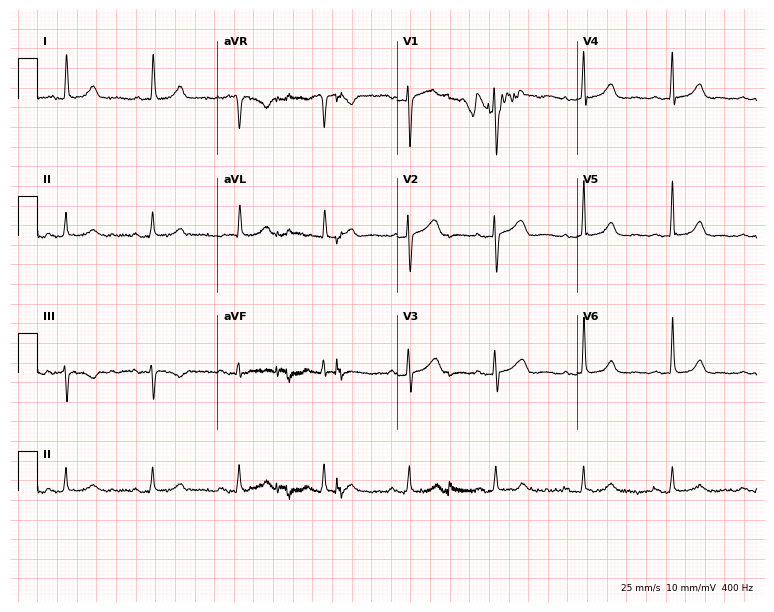
Electrocardiogram, a female, 65 years old. Overall reading on record: normal ECG.